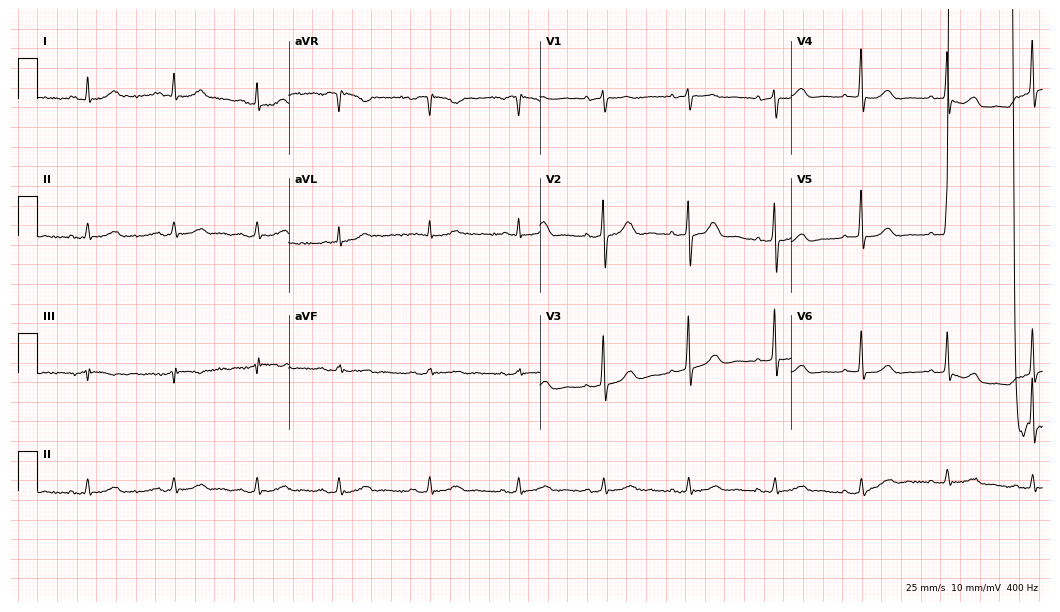
12-lead ECG from a female, 75 years old (10.2-second recording at 400 Hz). Recorded interpretation: within normal limits.